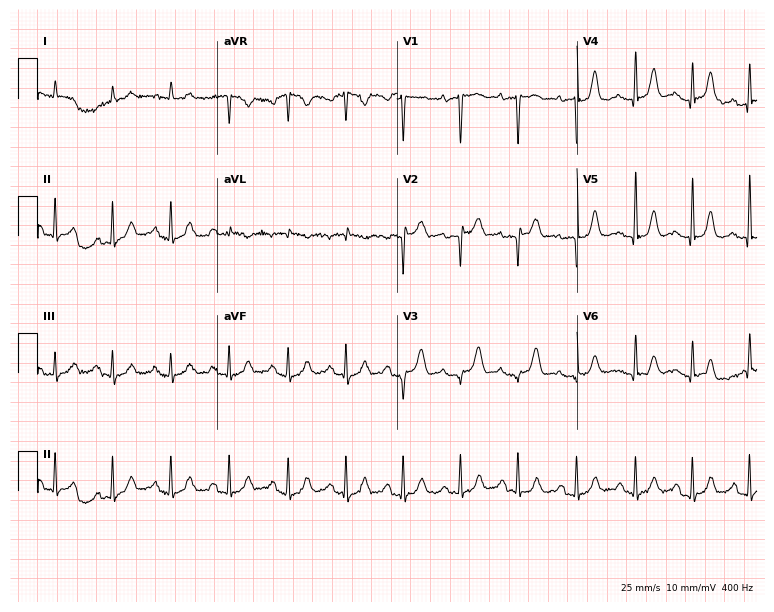
12-lead ECG from a 75-year-old woman. Findings include sinus tachycardia (a sinus rate of 100 beats per minute or more).